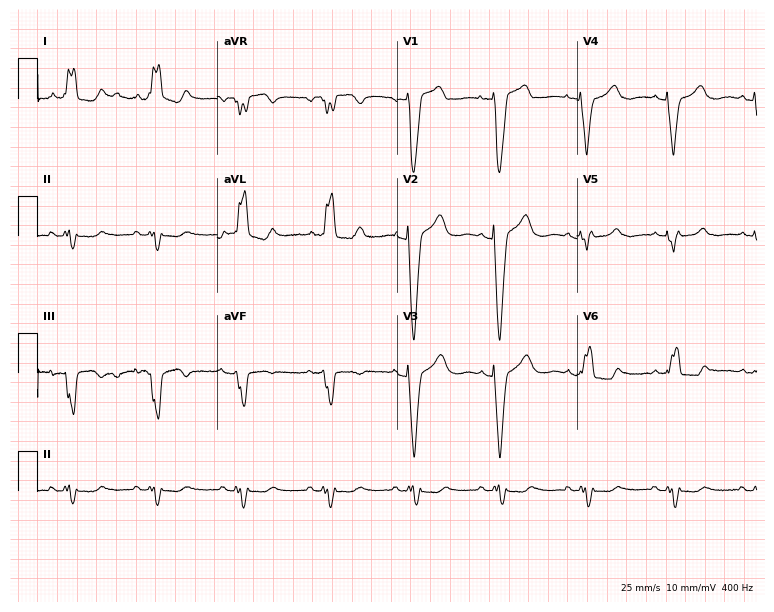
Standard 12-lead ECG recorded from a 74-year-old woman (7.3-second recording at 400 Hz). The tracing shows left bundle branch block.